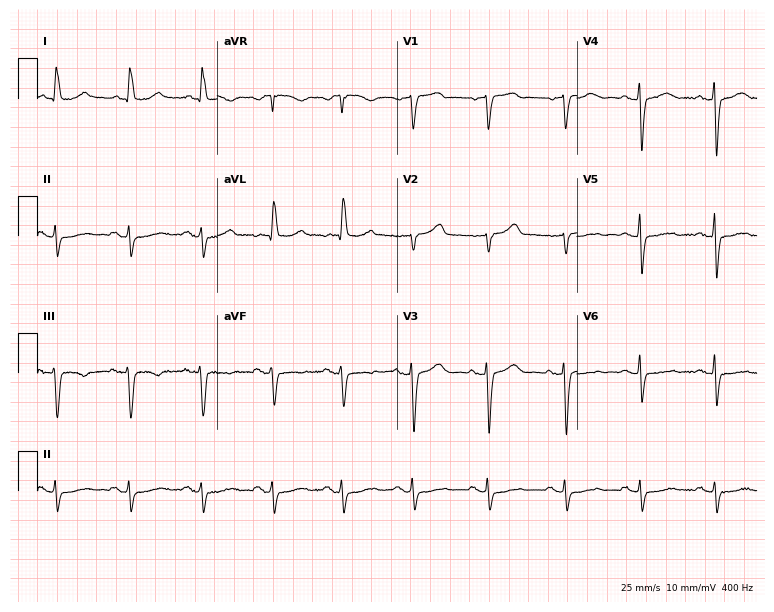
Electrocardiogram, a 69-year-old female patient. Of the six screened findings (first-degree AV block, right bundle branch block (RBBB), left bundle branch block (LBBB), sinus bradycardia, atrial fibrillation (AF), sinus tachycardia), none is recorded. Findings outside these six are not listed.